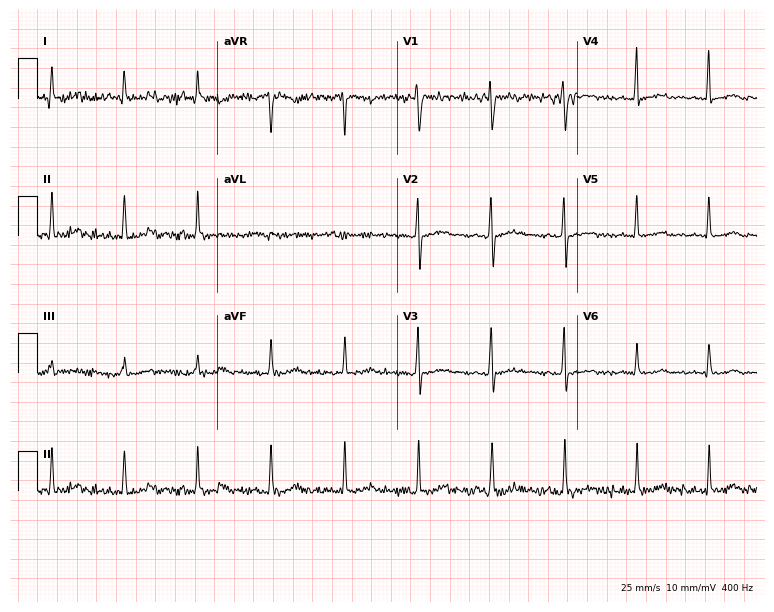
12-lead ECG (7.3-second recording at 400 Hz) from a 58-year-old female patient. Screened for six findings — first-degree AV block, right bundle branch block, left bundle branch block, sinus bradycardia, atrial fibrillation, sinus tachycardia — none is recorded. Only these six findings were labelled.